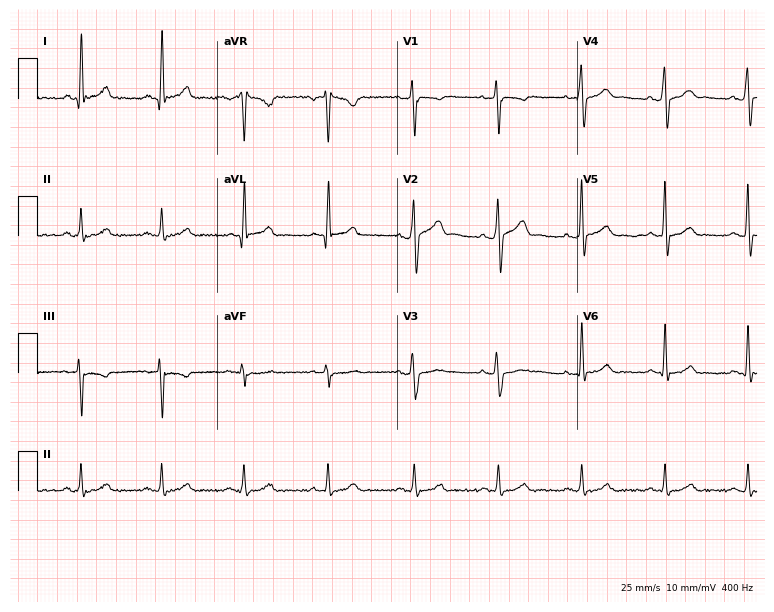
12-lead ECG from a 39-year-old man. Recorded interpretation: within normal limits.